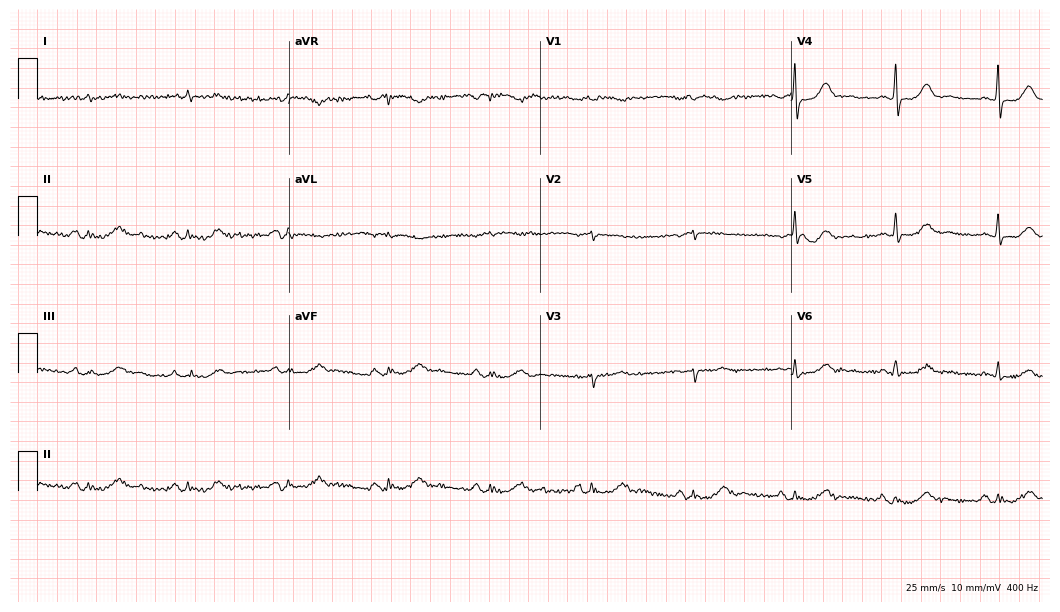
12-lead ECG from an 81-year-old man (10.2-second recording at 400 Hz). No first-degree AV block, right bundle branch block (RBBB), left bundle branch block (LBBB), sinus bradycardia, atrial fibrillation (AF) or sinus tachycardia recorded for this tracing.